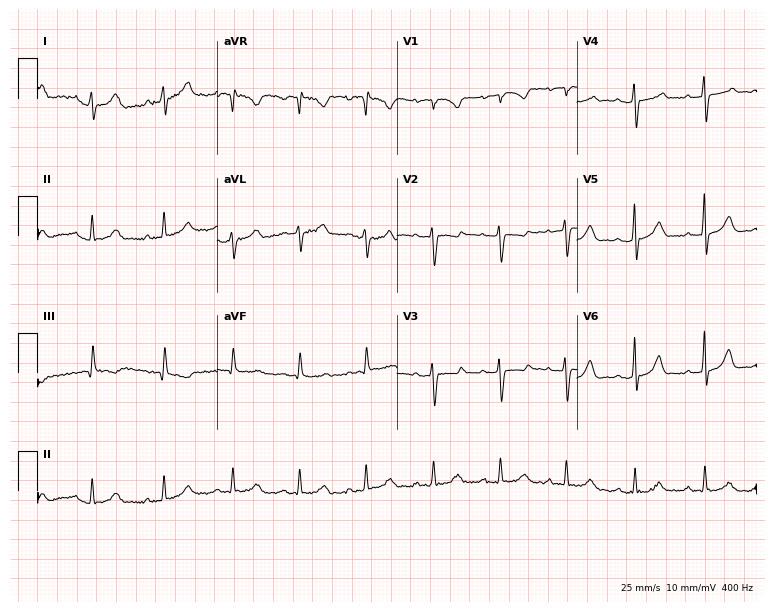
Resting 12-lead electrocardiogram (7.3-second recording at 400 Hz). Patient: a female, 21 years old. None of these six findings is recorded: first-degree AV block, right bundle branch block, left bundle branch block, sinus bradycardia, atrial fibrillation, sinus tachycardia.